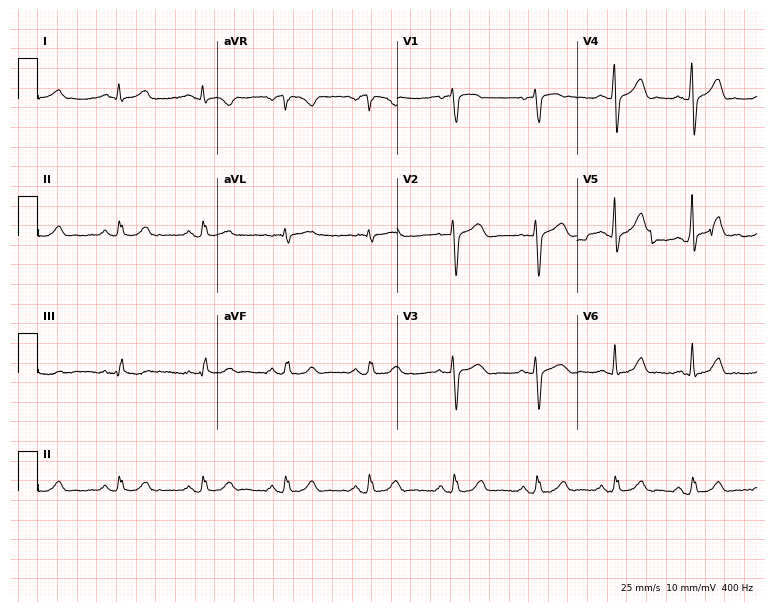
12-lead ECG from a male, 53 years old. Recorded interpretation: within normal limits.